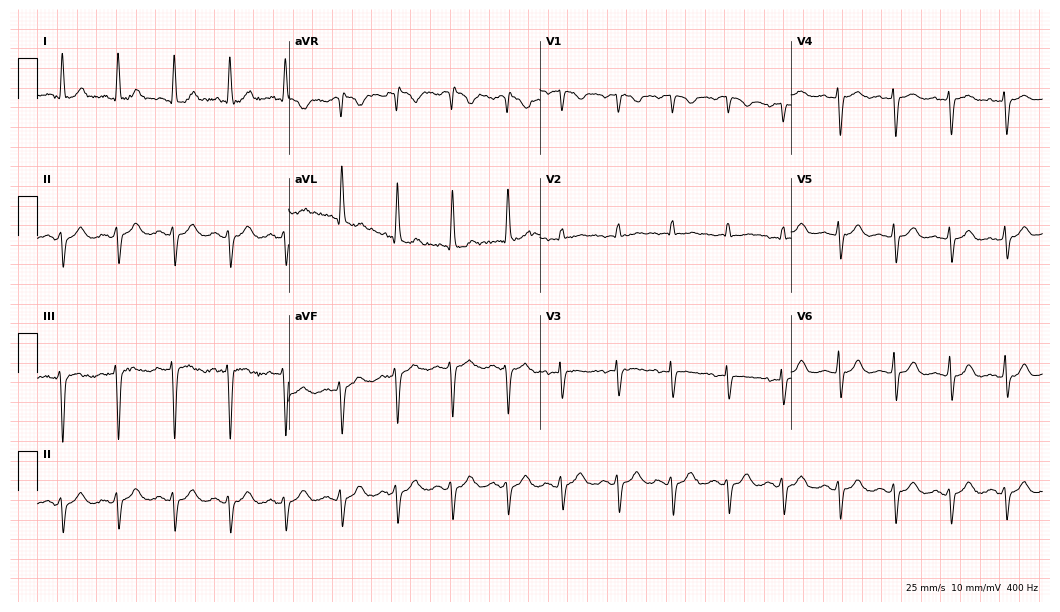
12-lead ECG from a female, 73 years old (10.2-second recording at 400 Hz). Shows sinus tachycardia (a sinus rate of 100 beats per minute or more).